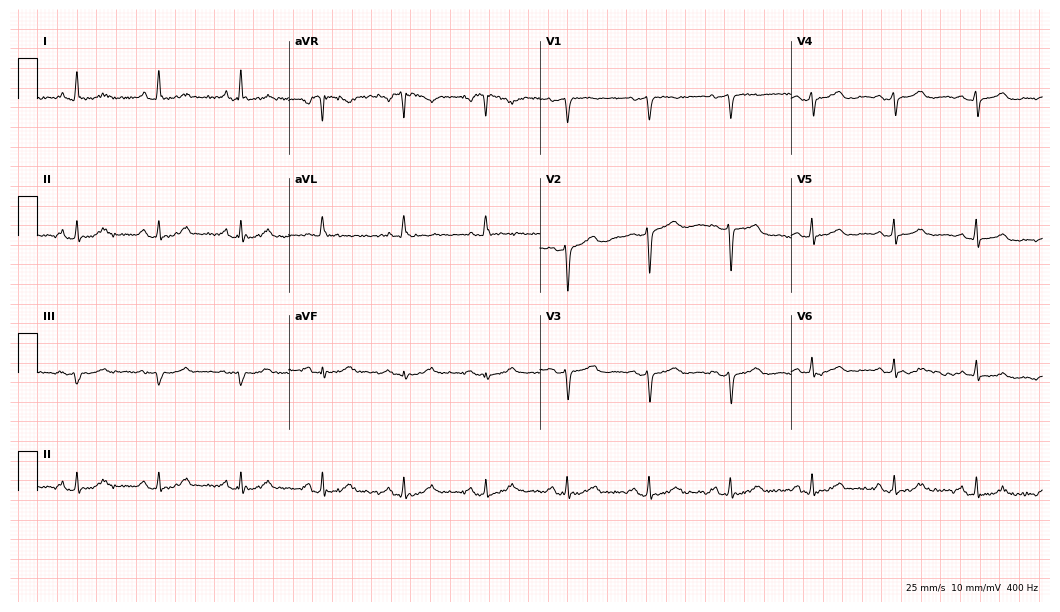
Resting 12-lead electrocardiogram. Patient: an 81-year-old woman. Read as a normal ECG.